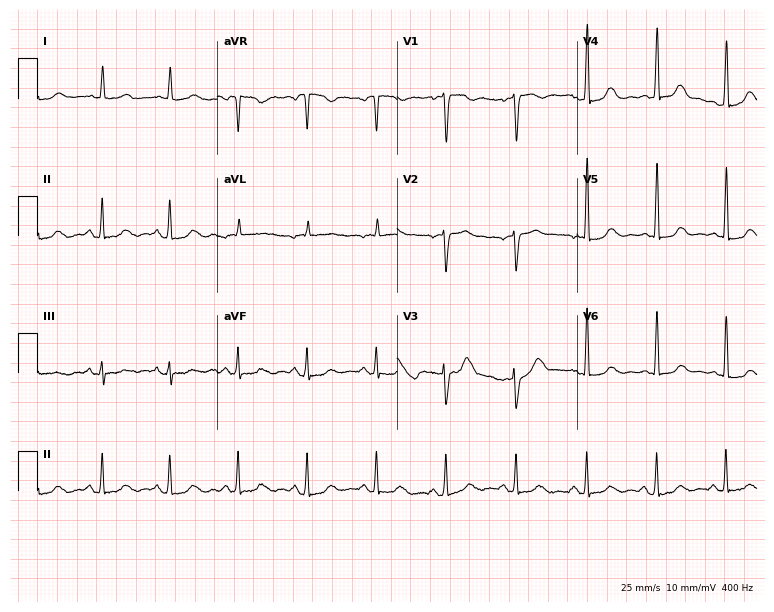
Standard 12-lead ECG recorded from a 78-year-old female (7.3-second recording at 400 Hz). Read as a normal ECG.